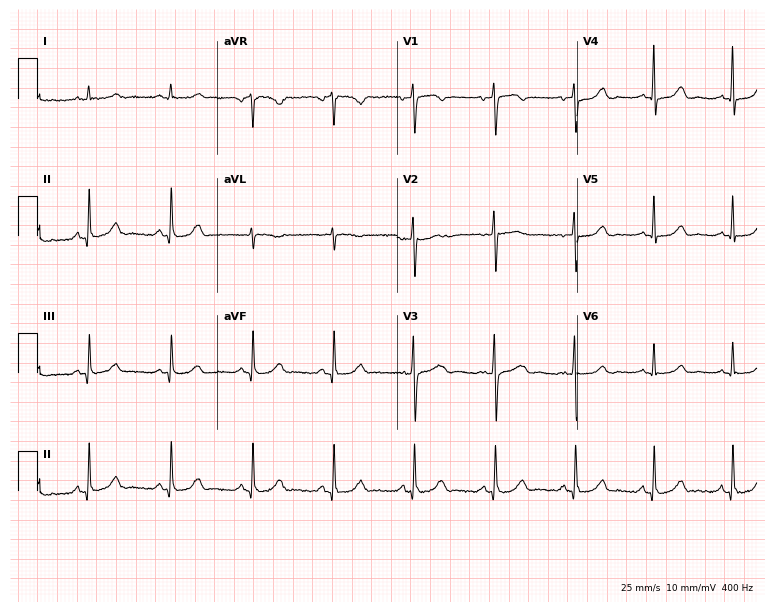
Standard 12-lead ECG recorded from a female, 56 years old (7.3-second recording at 400 Hz). Read as a normal ECG.